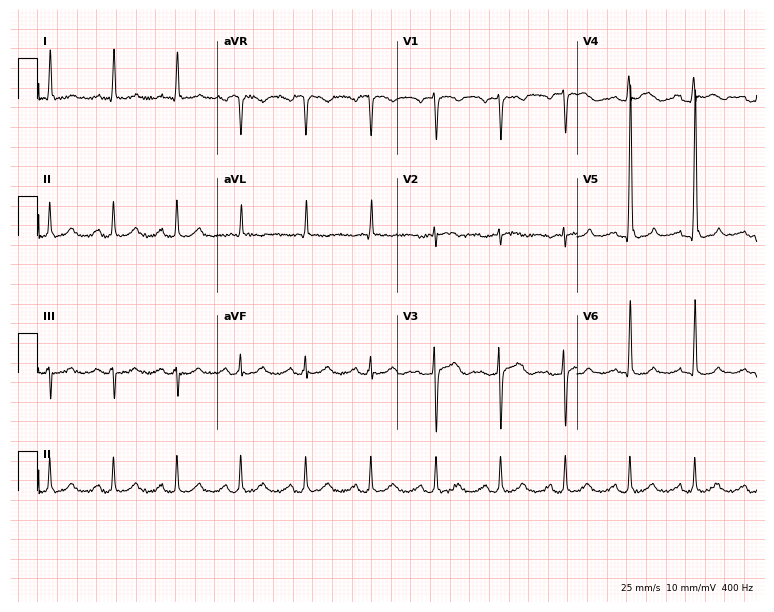
12-lead ECG from a 54-year-old male patient (7.3-second recording at 400 Hz). No first-degree AV block, right bundle branch block (RBBB), left bundle branch block (LBBB), sinus bradycardia, atrial fibrillation (AF) or sinus tachycardia recorded for this tracing. Other findings, if any, are not listed.